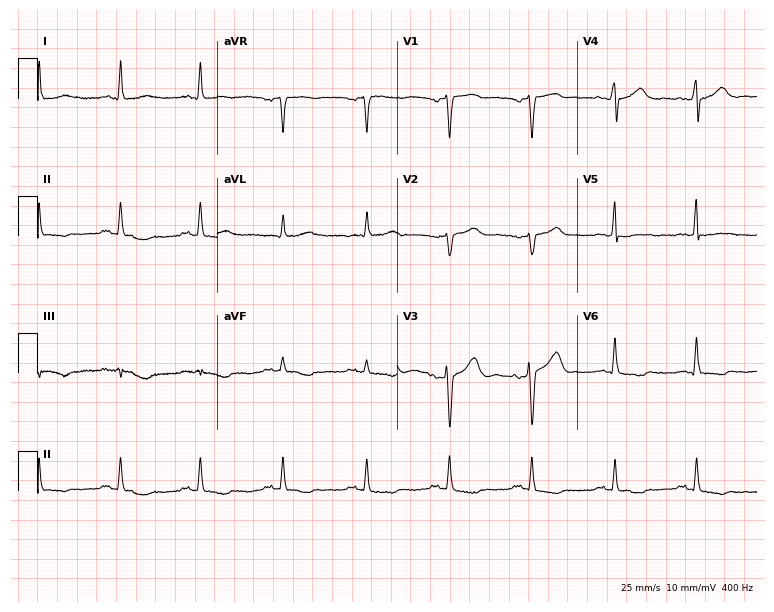
12-lead ECG from a man, 47 years old. Screened for six findings — first-degree AV block, right bundle branch block, left bundle branch block, sinus bradycardia, atrial fibrillation, sinus tachycardia — none is recorded.